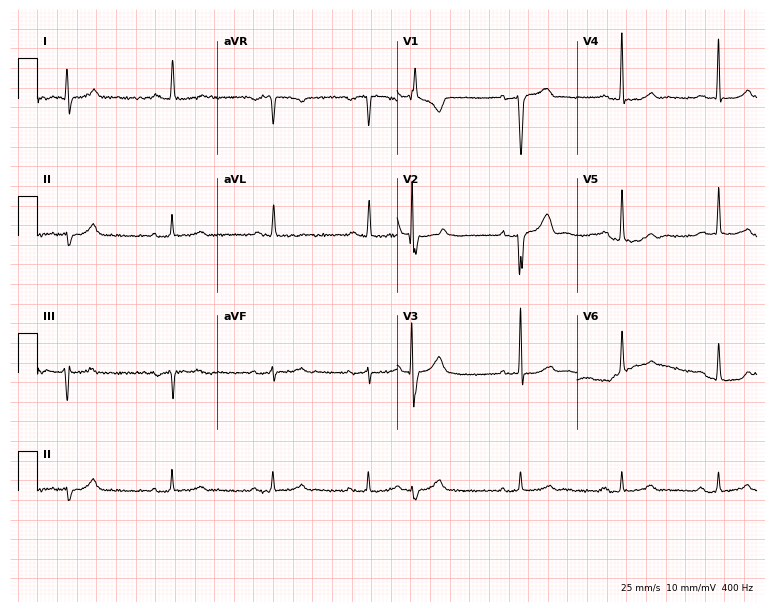
12-lead ECG from an 83-year-old woman (7.3-second recording at 400 Hz). No first-degree AV block, right bundle branch block, left bundle branch block, sinus bradycardia, atrial fibrillation or sinus tachycardia recorded for this tracing.